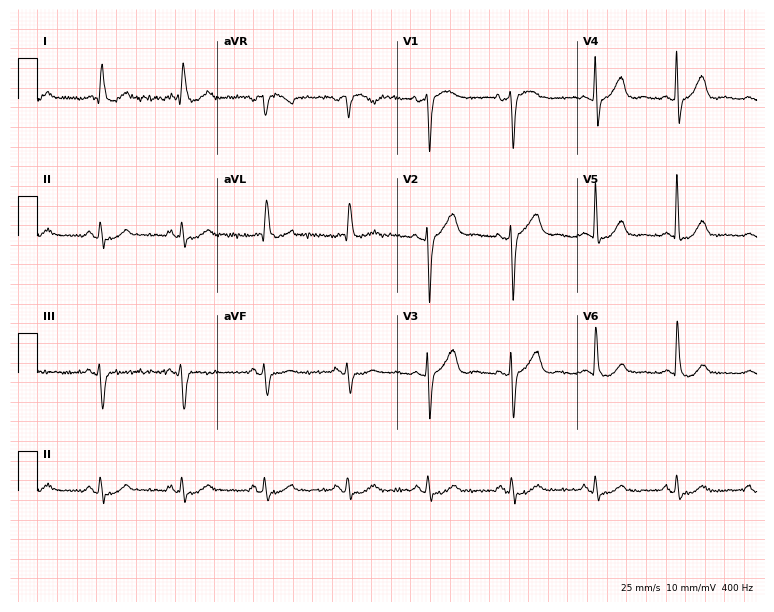
12-lead ECG from a female patient, 81 years old (7.3-second recording at 400 Hz). No first-degree AV block, right bundle branch block, left bundle branch block, sinus bradycardia, atrial fibrillation or sinus tachycardia recorded for this tracing.